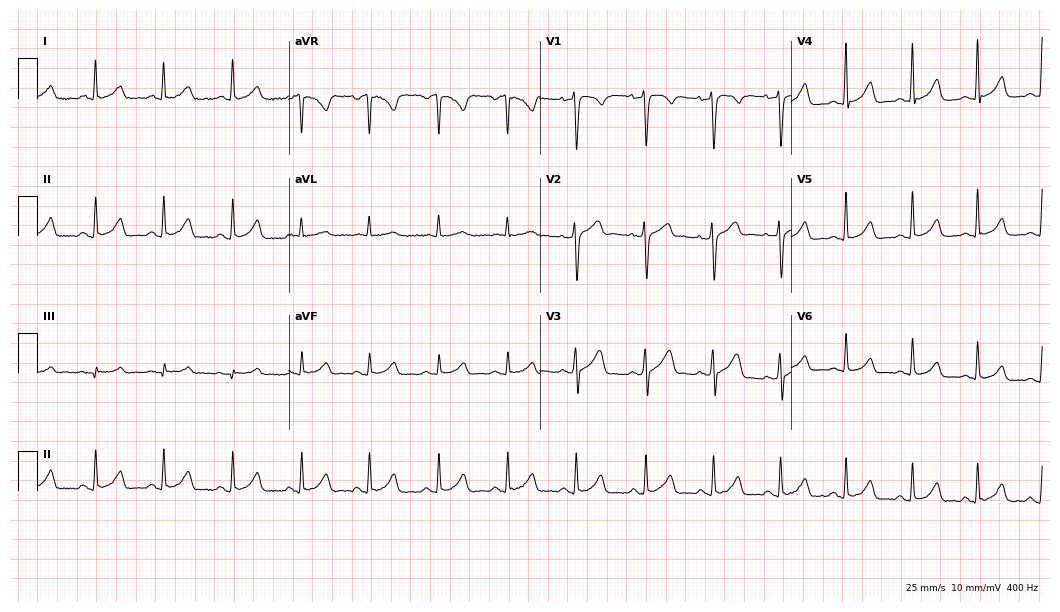
Resting 12-lead electrocardiogram. Patient: a 42-year-old female. Read as a normal ECG.